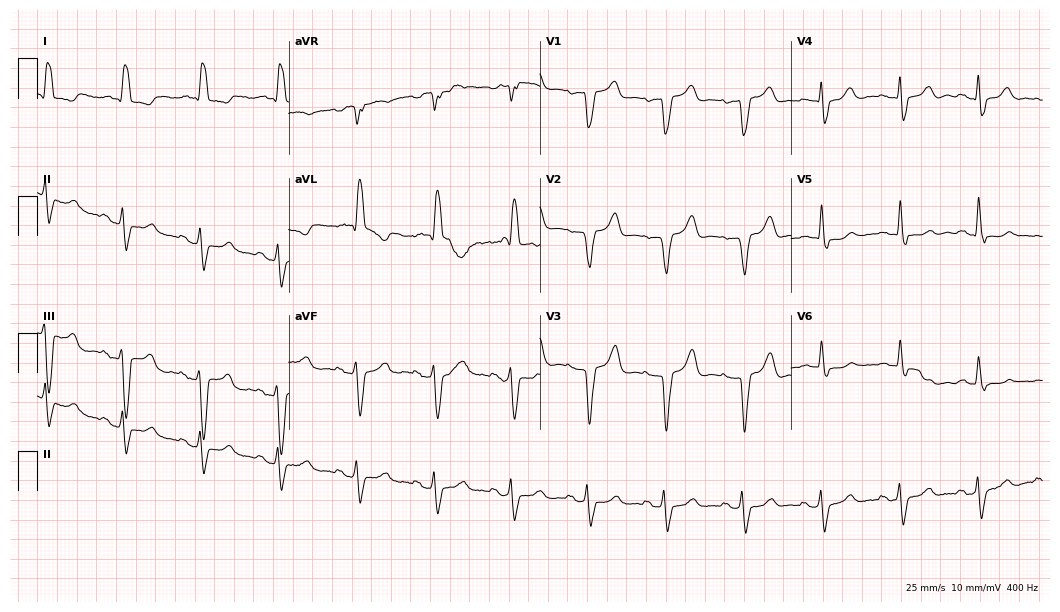
Electrocardiogram, an 83-year-old female. Interpretation includes left bundle branch block.